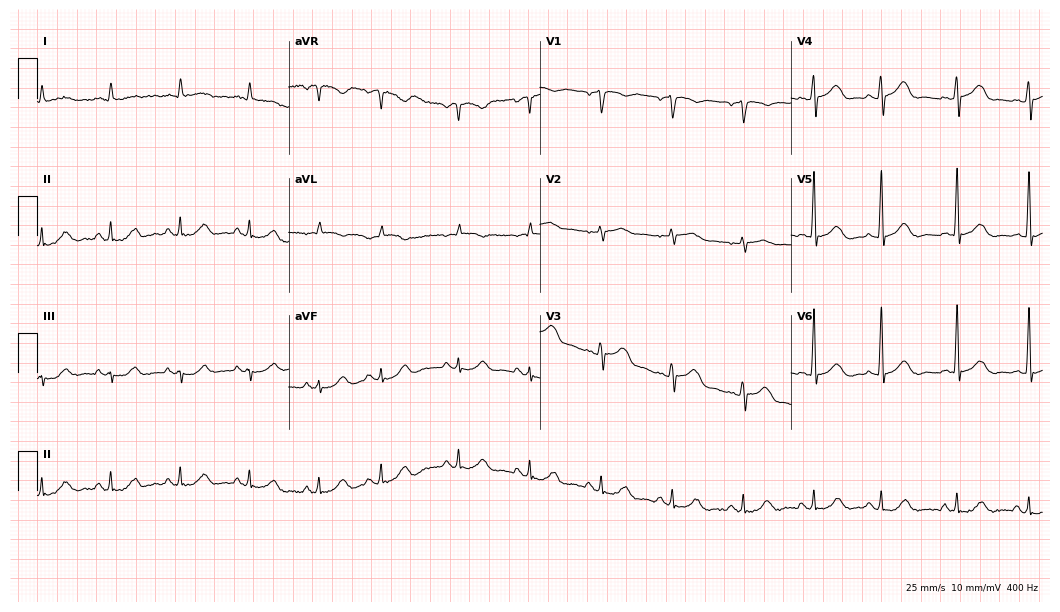
Resting 12-lead electrocardiogram. Patient: a male, 65 years old. Read as a normal ECG.